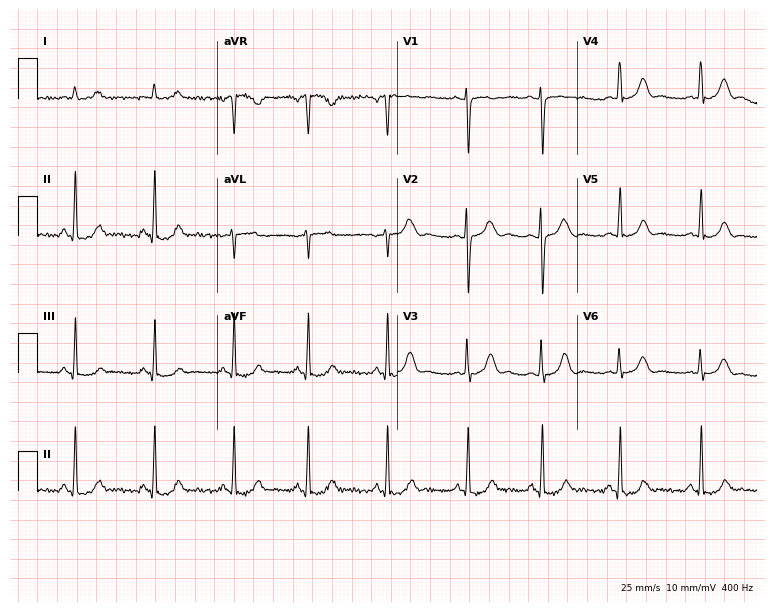
12-lead ECG from a female patient, 30 years old. No first-degree AV block, right bundle branch block, left bundle branch block, sinus bradycardia, atrial fibrillation or sinus tachycardia recorded for this tracing. Findings outside these six are not listed.